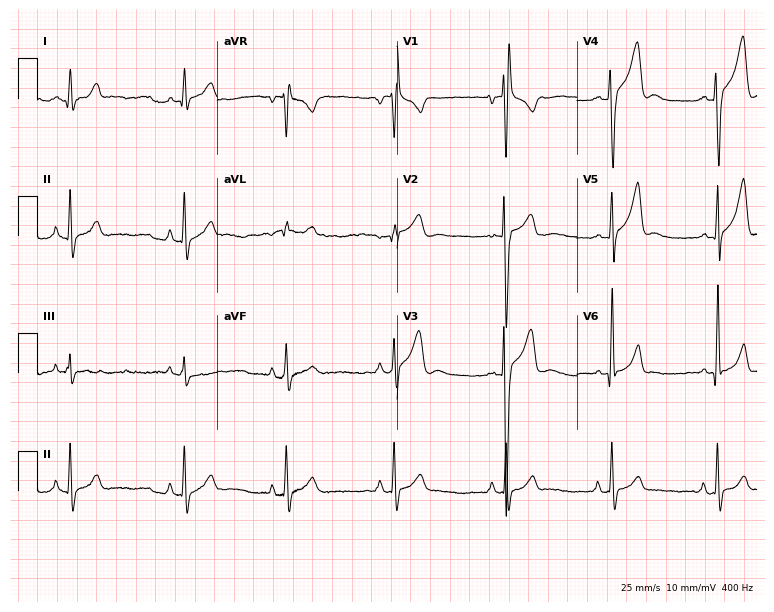
ECG (7.3-second recording at 400 Hz) — a 24-year-old male patient. Screened for six findings — first-degree AV block, right bundle branch block (RBBB), left bundle branch block (LBBB), sinus bradycardia, atrial fibrillation (AF), sinus tachycardia — none is recorded.